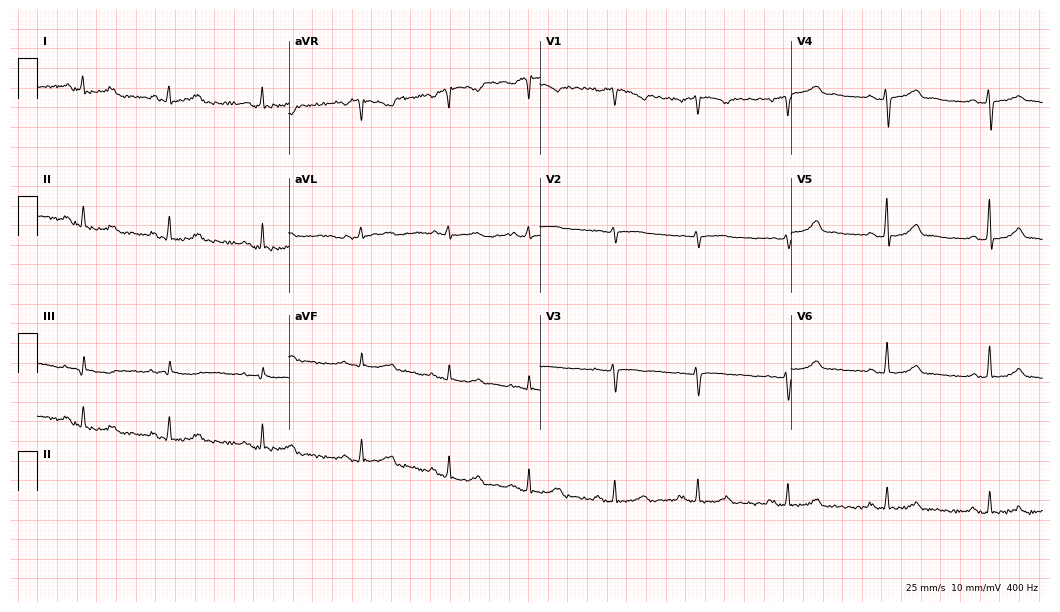
12-lead ECG (10.2-second recording at 400 Hz) from a female patient, 43 years old. Labelled as a normal ECG.